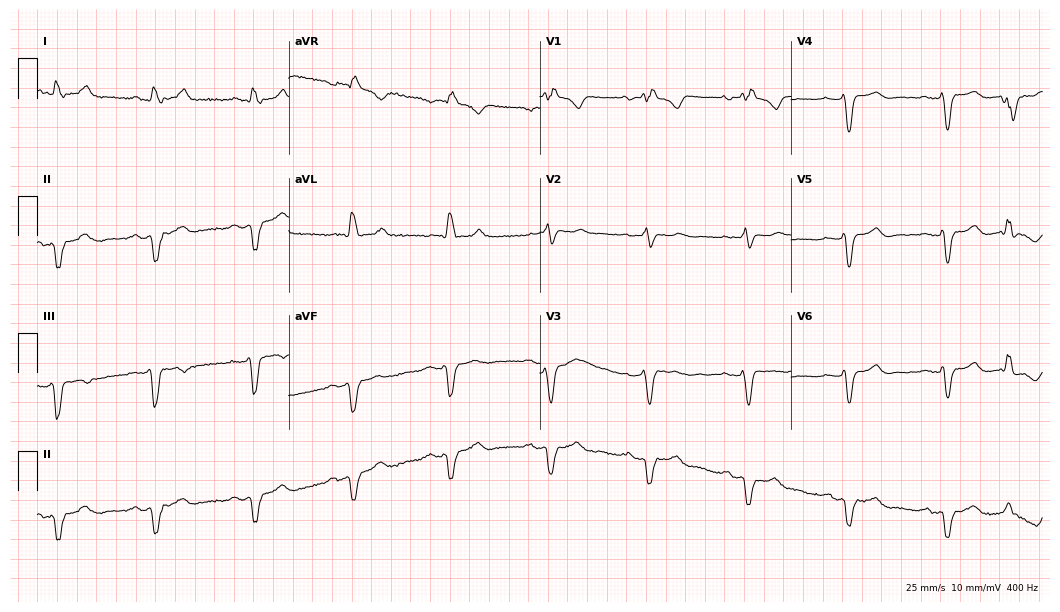
12-lead ECG (10.2-second recording at 400 Hz) from a 72-year-old male. Findings include right bundle branch block (RBBB).